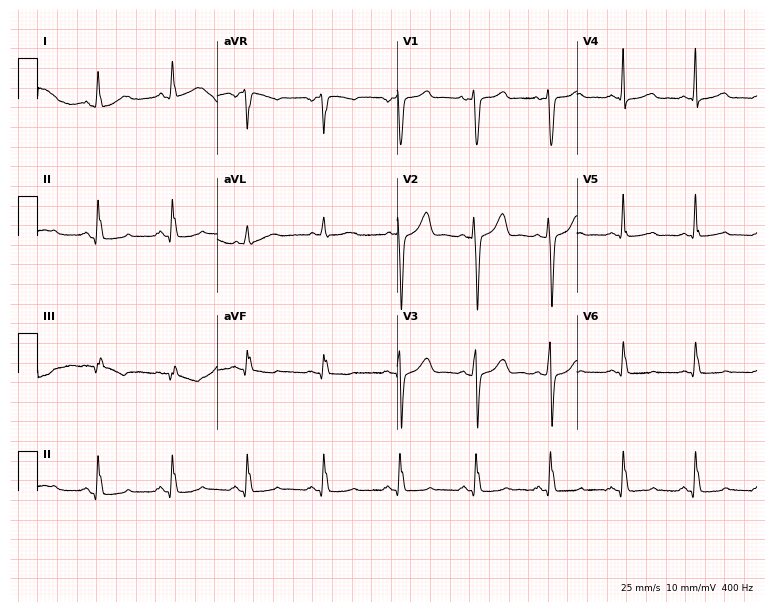
ECG (7.3-second recording at 400 Hz) — a female, 32 years old. Screened for six findings — first-degree AV block, right bundle branch block, left bundle branch block, sinus bradycardia, atrial fibrillation, sinus tachycardia — none is recorded. Other findings, if any, are not listed.